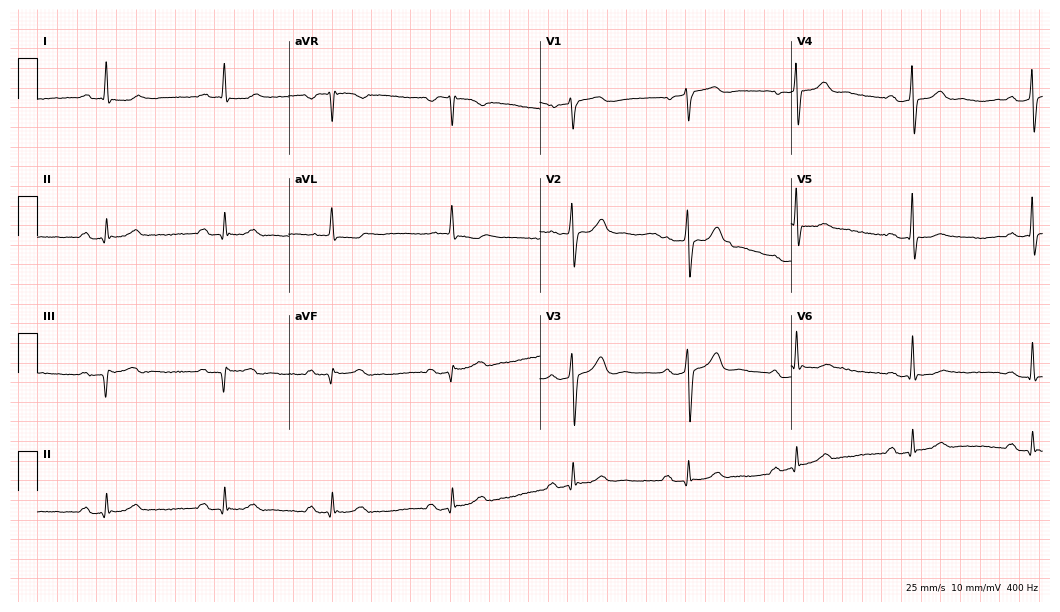
Electrocardiogram (10.2-second recording at 400 Hz), an 80-year-old male patient. Overall reading on record: normal ECG.